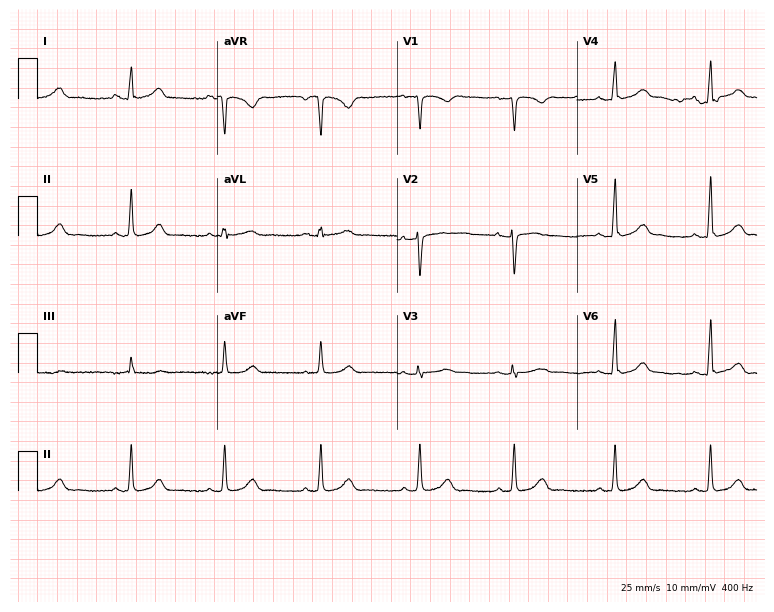
12-lead ECG from a 37-year-old female patient. Labelled as a normal ECG.